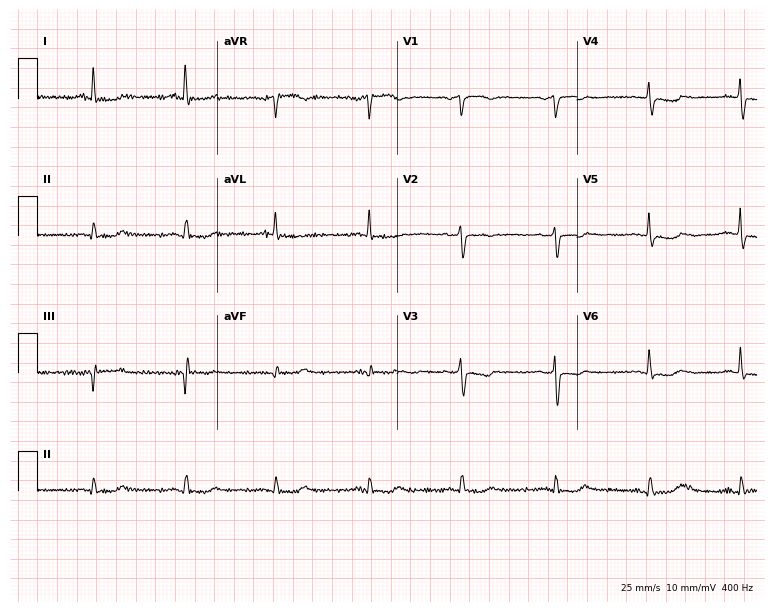
12-lead ECG from a female patient, 81 years old (7.3-second recording at 400 Hz). No first-degree AV block, right bundle branch block (RBBB), left bundle branch block (LBBB), sinus bradycardia, atrial fibrillation (AF) or sinus tachycardia recorded for this tracing. Only these six findings were labelled.